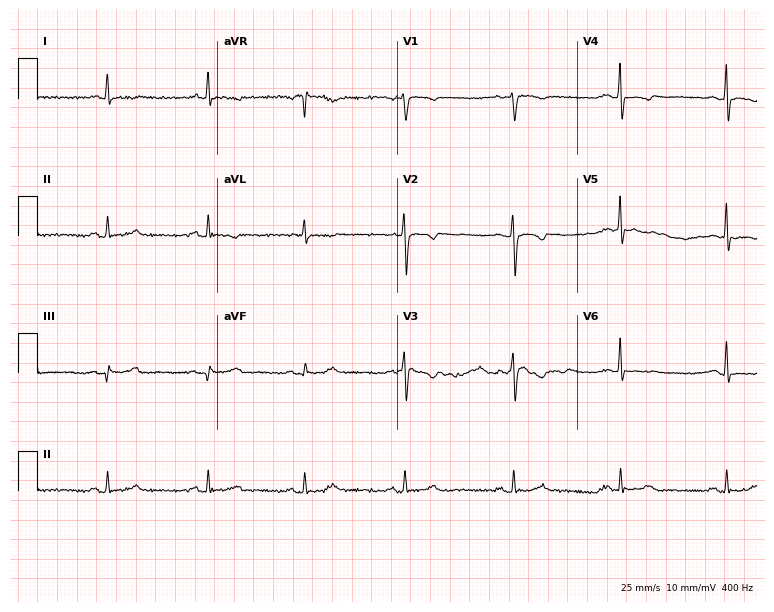
12-lead ECG from a 56-year-old woman (7.3-second recording at 400 Hz). No first-degree AV block, right bundle branch block, left bundle branch block, sinus bradycardia, atrial fibrillation or sinus tachycardia recorded for this tracing. Other findings, if any, are not listed.